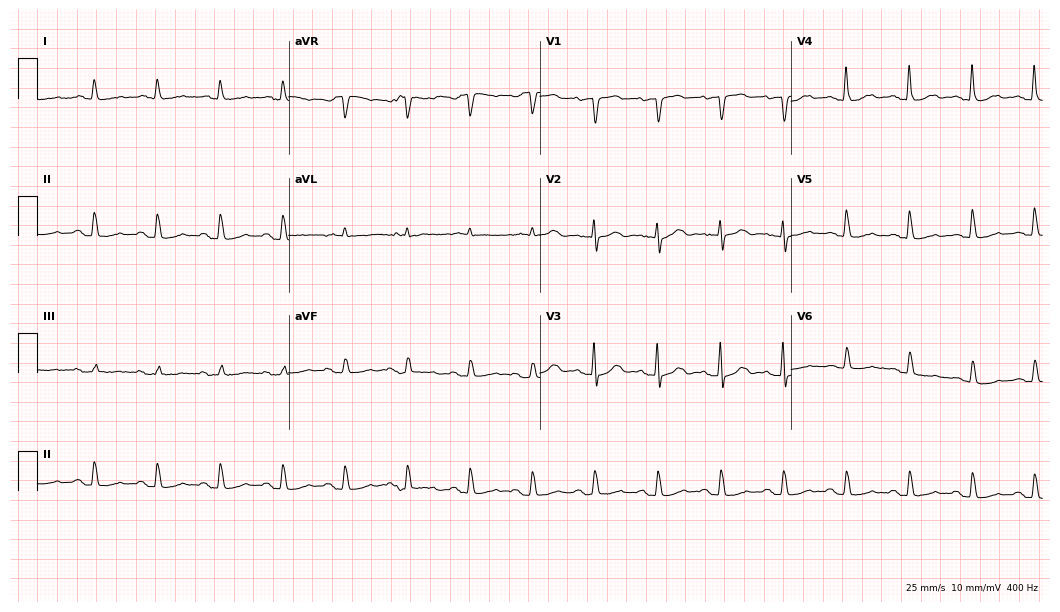
Resting 12-lead electrocardiogram (10.2-second recording at 400 Hz). Patient: a 70-year-old woman. None of these six findings is recorded: first-degree AV block, right bundle branch block, left bundle branch block, sinus bradycardia, atrial fibrillation, sinus tachycardia. Other findings, if any, are not listed.